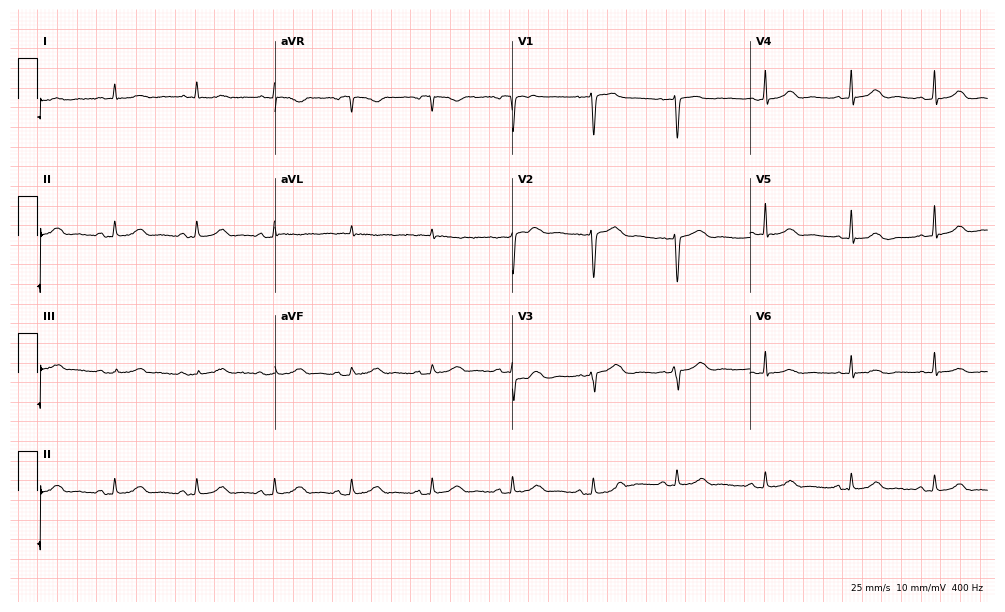
12-lead ECG from a woman, 61 years old. Labelled as a normal ECG.